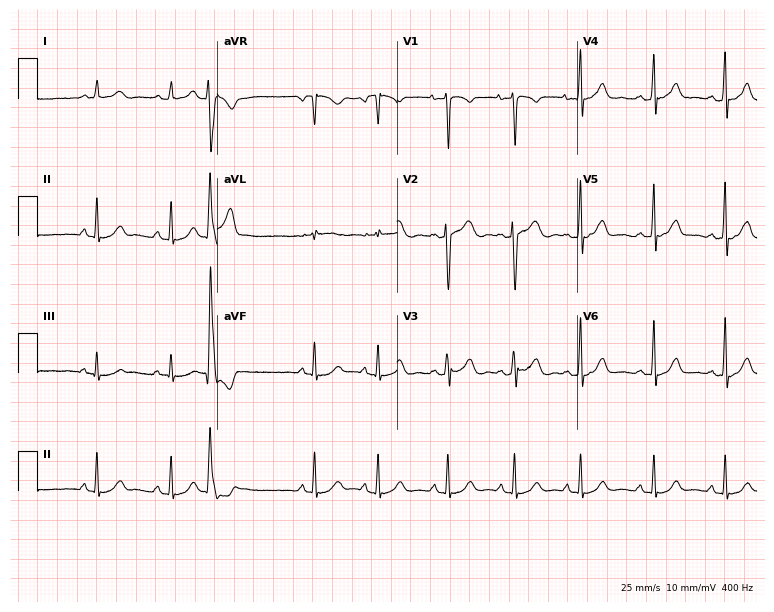
Electrocardiogram, a 26-year-old female patient. Of the six screened findings (first-degree AV block, right bundle branch block (RBBB), left bundle branch block (LBBB), sinus bradycardia, atrial fibrillation (AF), sinus tachycardia), none is recorded. Only these six findings were labelled.